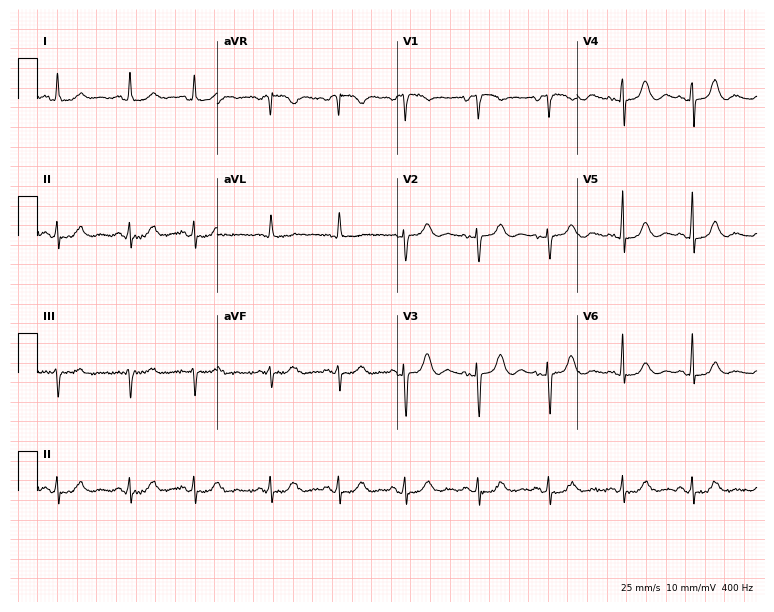
ECG — an 83-year-old woman. Screened for six findings — first-degree AV block, right bundle branch block (RBBB), left bundle branch block (LBBB), sinus bradycardia, atrial fibrillation (AF), sinus tachycardia — none is recorded.